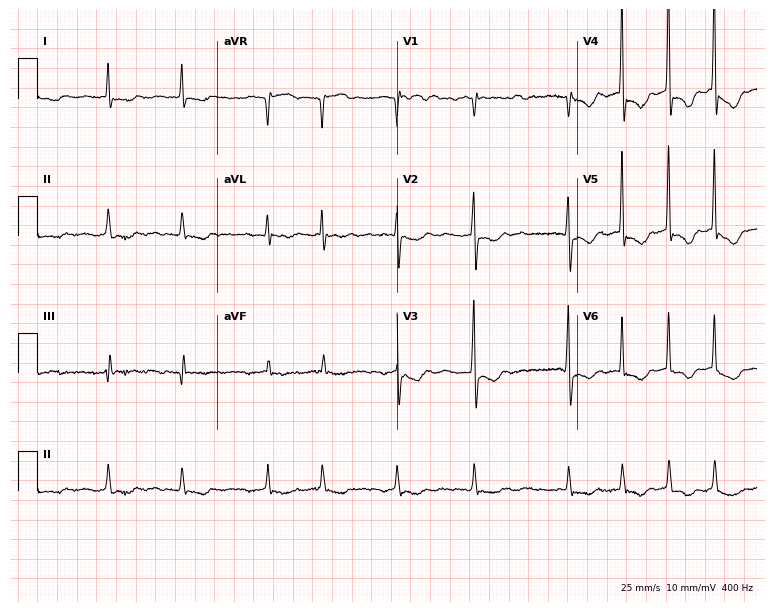
ECG — a woman, 68 years old. Findings include atrial fibrillation.